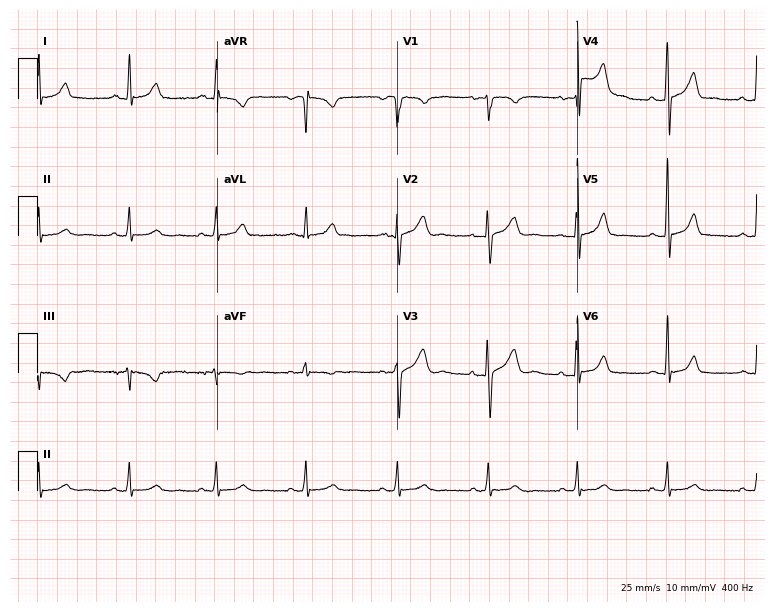
12-lead ECG from a 51-year-old female patient (7.3-second recording at 400 Hz). Recorded interpretation: within normal limits.